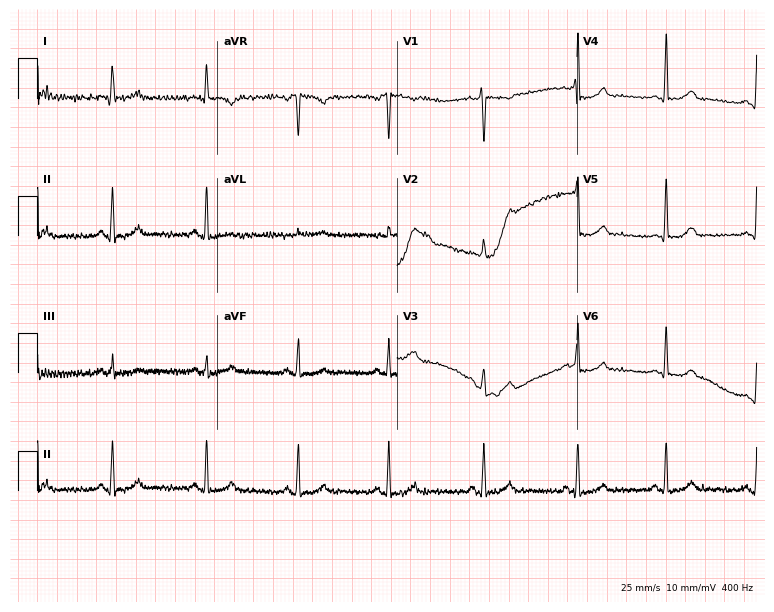
12-lead ECG from a 25-year-old female patient. Screened for six findings — first-degree AV block, right bundle branch block, left bundle branch block, sinus bradycardia, atrial fibrillation, sinus tachycardia — none is recorded. Other findings, if any, are not listed.